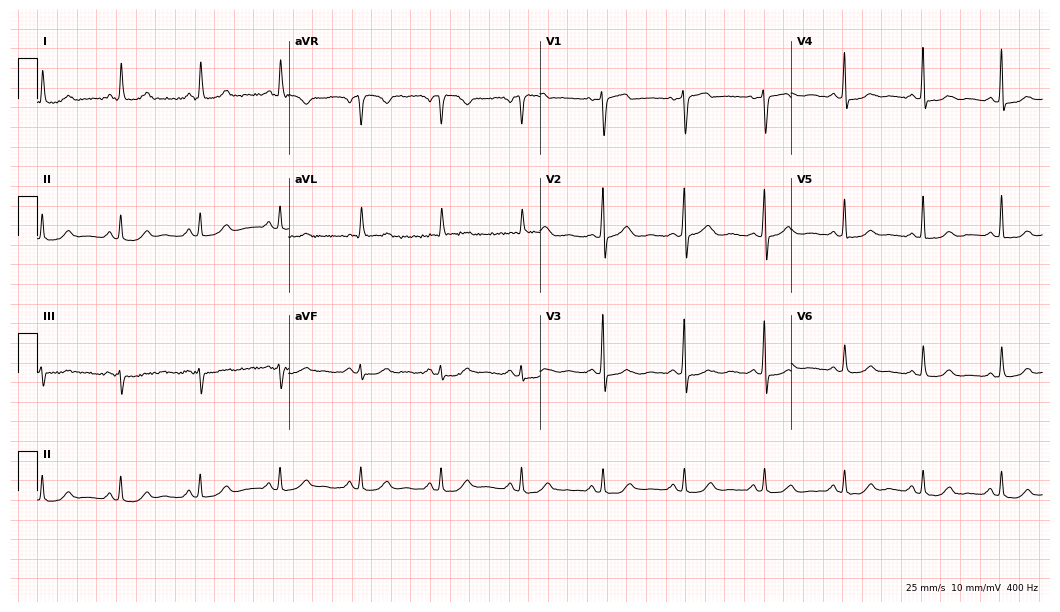
Resting 12-lead electrocardiogram. Patient: a female, 54 years old. Read as a normal ECG.